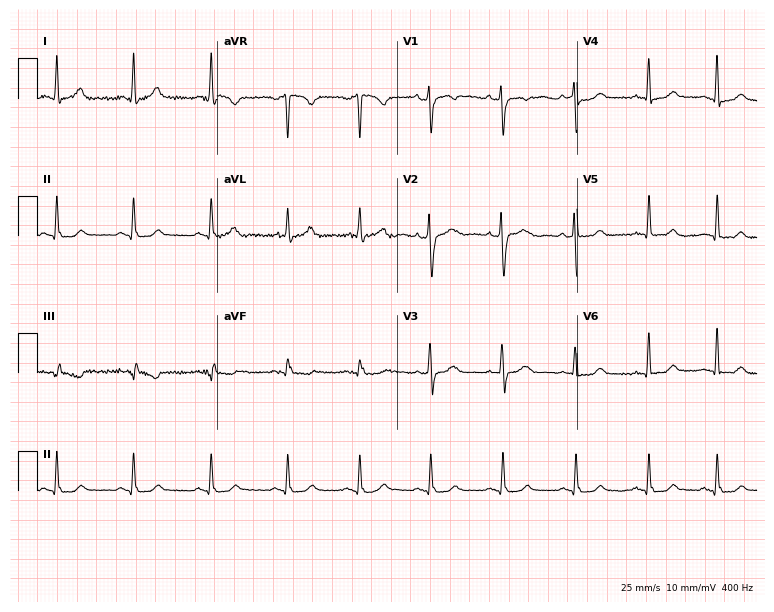
ECG — a 33-year-old female. Screened for six findings — first-degree AV block, right bundle branch block (RBBB), left bundle branch block (LBBB), sinus bradycardia, atrial fibrillation (AF), sinus tachycardia — none is recorded.